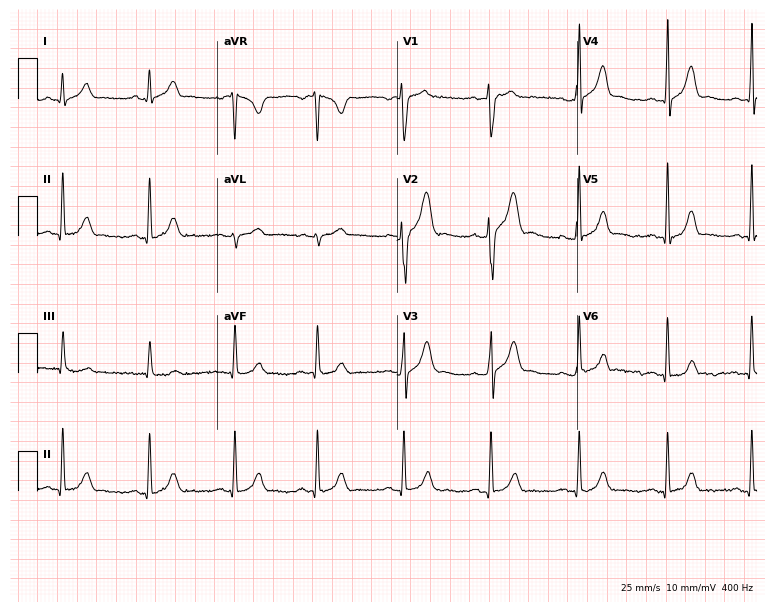
12-lead ECG (7.3-second recording at 400 Hz) from a male, 21 years old. Labelled as a normal ECG.